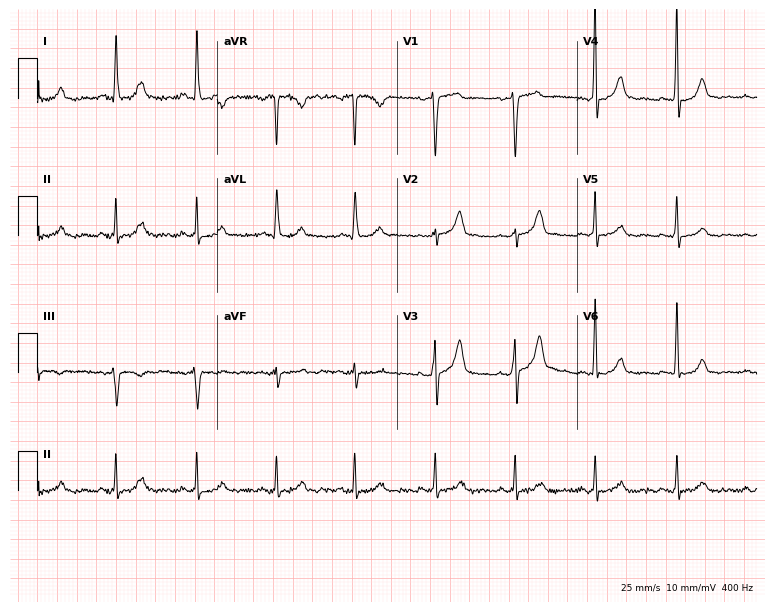
Standard 12-lead ECG recorded from a female, 52 years old. Read as a normal ECG.